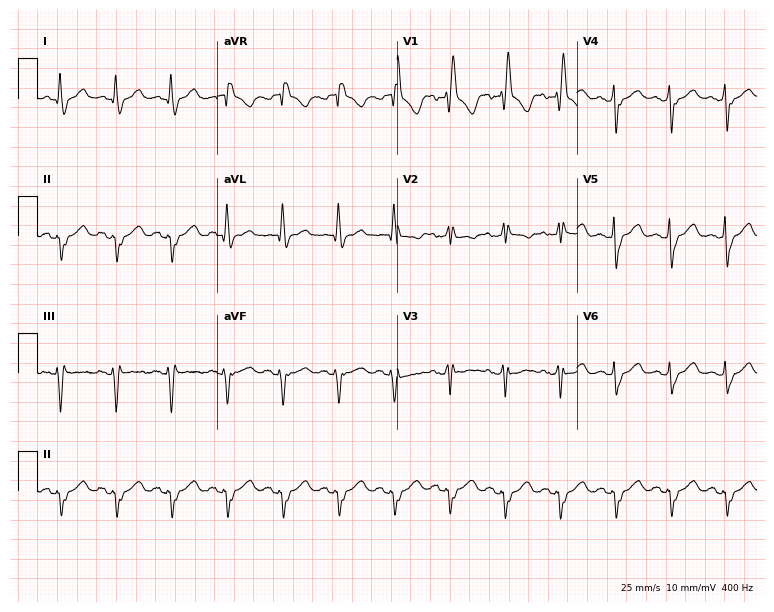
12-lead ECG (7.3-second recording at 400 Hz) from a 78-year-old man. Findings include right bundle branch block (RBBB), sinus tachycardia (a sinus rate of 100 beats per minute or more).